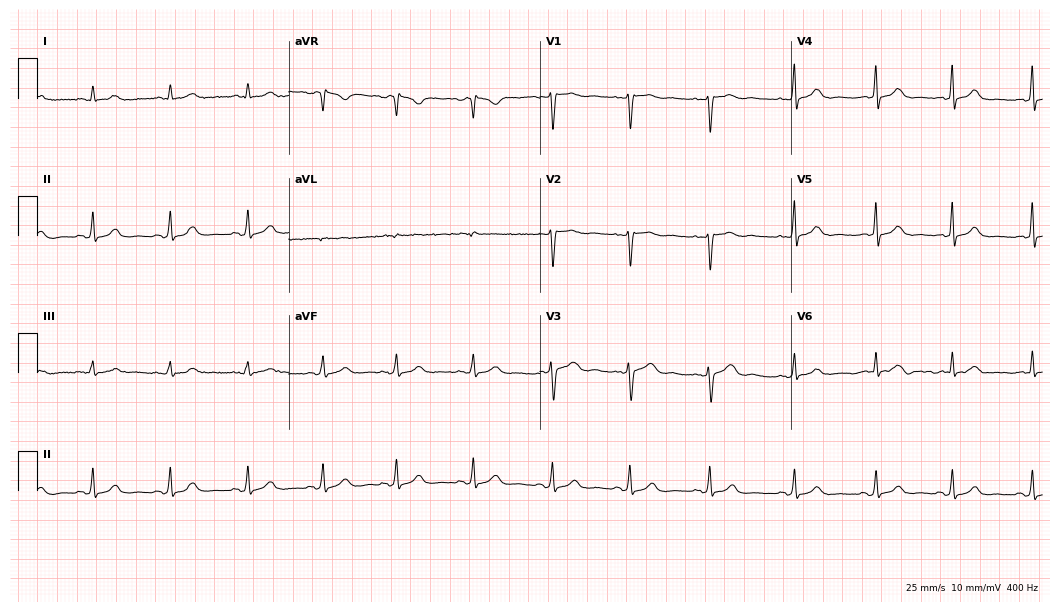
ECG — a woman, 38 years old. Screened for six findings — first-degree AV block, right bundle branch block (RBBB), left bundle branch block (LBBB), sinus bradycardia, atrial fibrillation (AF), sinus tachycardia — none is recorded. Findings outside these six are not listed.